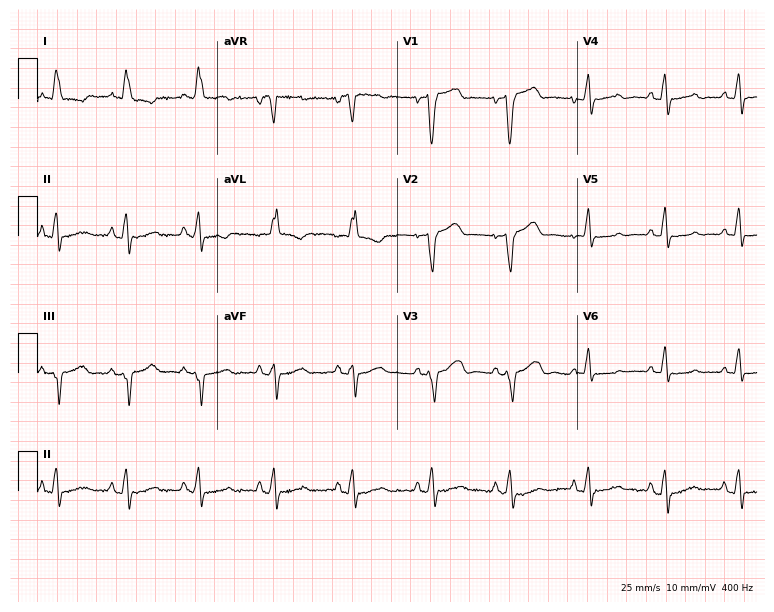
Standard 12-lead ECG recorded from a 77-year-old woman (7.3-second recording at 400 Hz). The tracing shows left bundle branch block (LBBB).